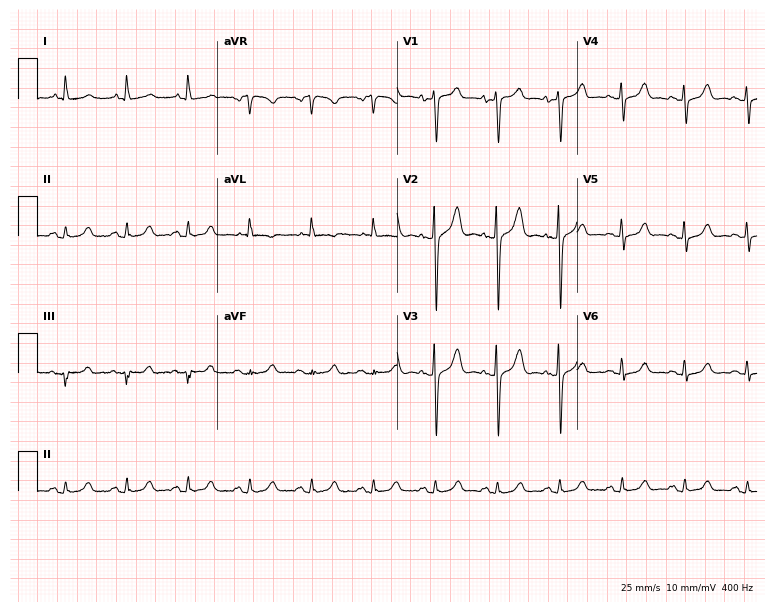
ECG (7.3-second recording at 400 Hz) — a female patient, 83 years old. Screened for six findings — first-degree AV block, right bundle branch block, left bundle branch block, sinus bradycardia, atrial fibrillation, sinus tachycardia — none is recorded.